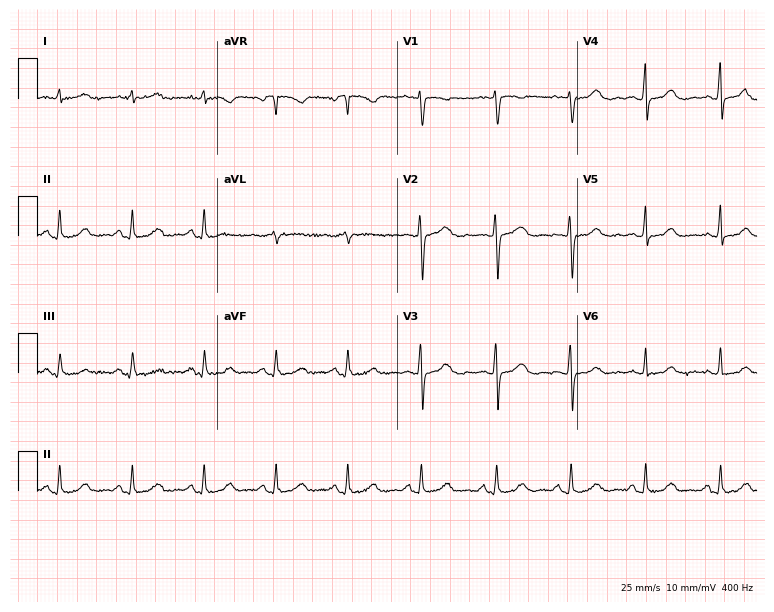
Resting 12-lead electrocardiogram (7.3-second recording at 400 Hz). Patient: a woman, 46 years old. None of these six findings is recorded: first-degree AV block, right bundle branch block, left bundle branch block, sinus bradycardia, atrial fibrillation, sinus tachycardia. Only these six findings were labelled.